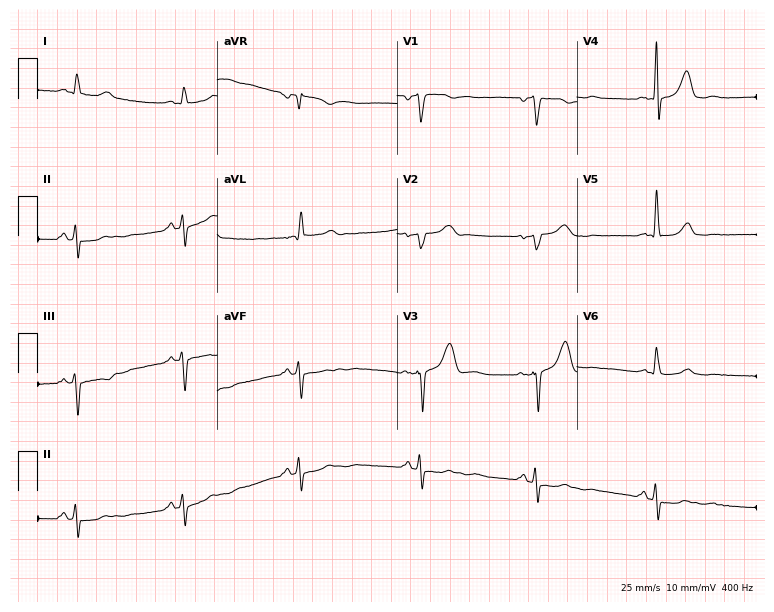
12-lead ECG from a male patient, 47 years old (7.3-second recording at 400 Hz). Shows sinus bradycardia (a sinus rate of 50 beats per minute or less).